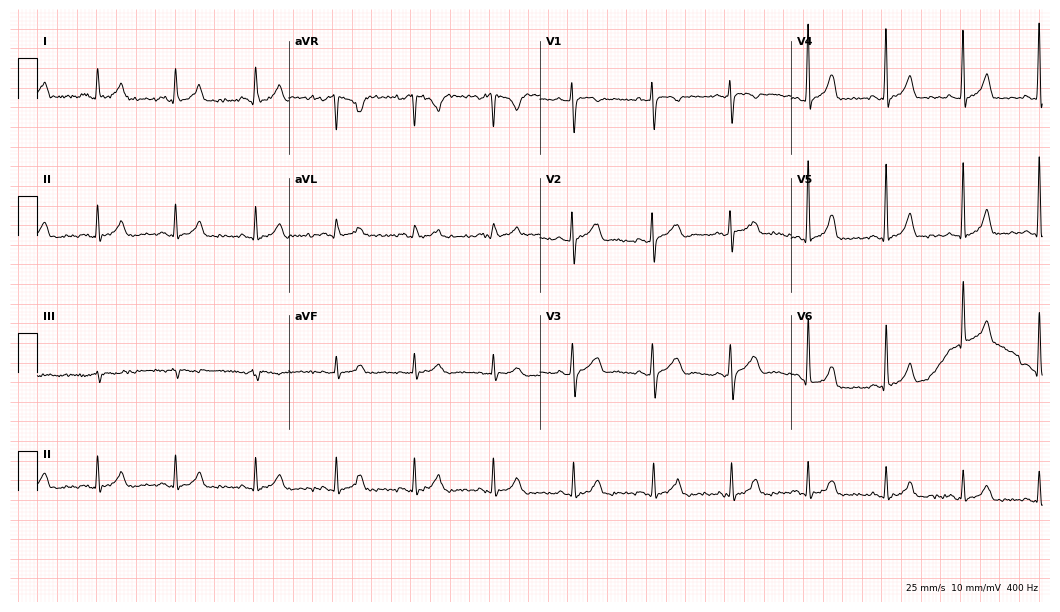
ECG (10.2-second recording at 400 Hz) — a female, 30 years old. Screened for six findings — first-degree AV block, right bundle branch block, left bundle branch block, sinus bradycardia, atrial fibrillation, sinus tachycardia — none is recorded.